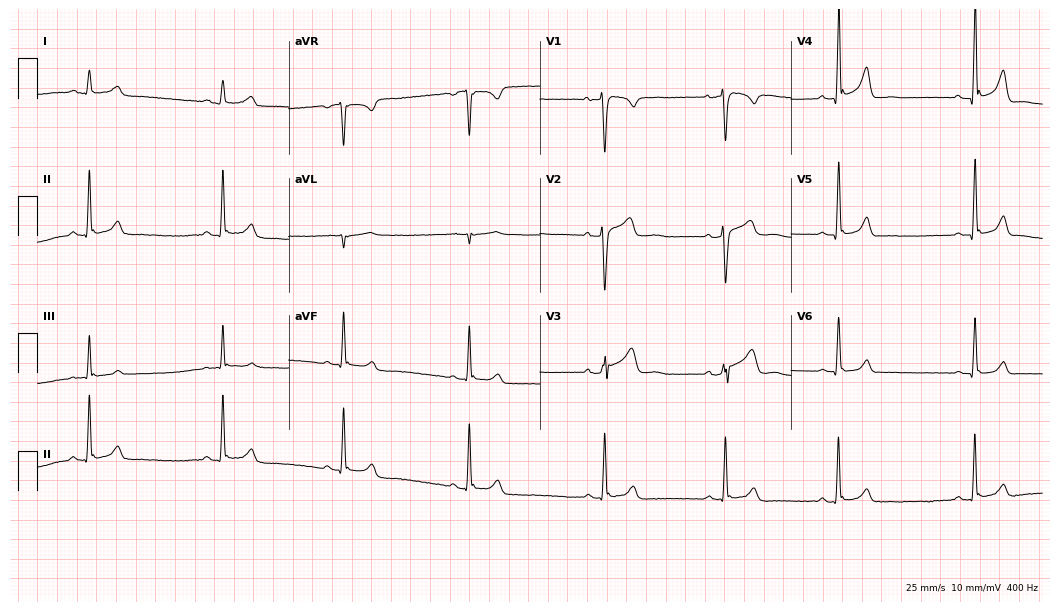
Standard 12-lead ECG recorded from a 29-year-old man. Read as a normal ECG.